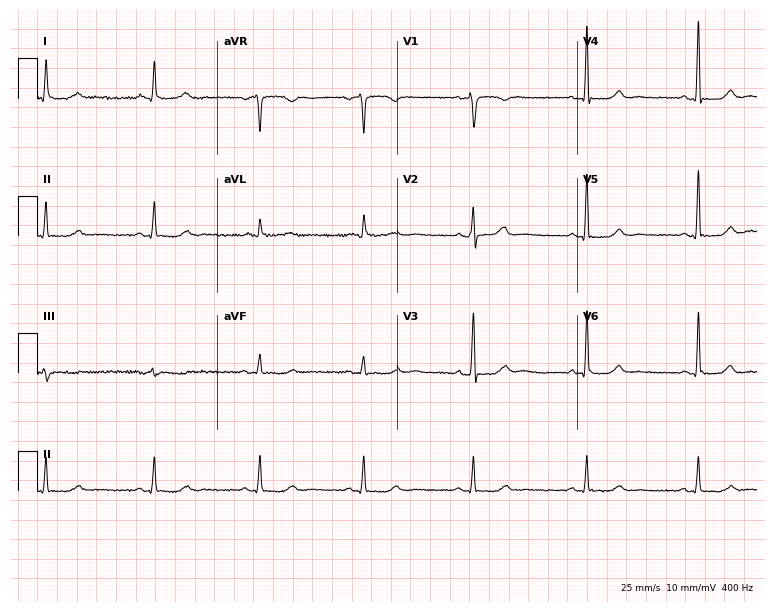
ECG — a 70-year-old female patient. Labelled as a normal ECG.